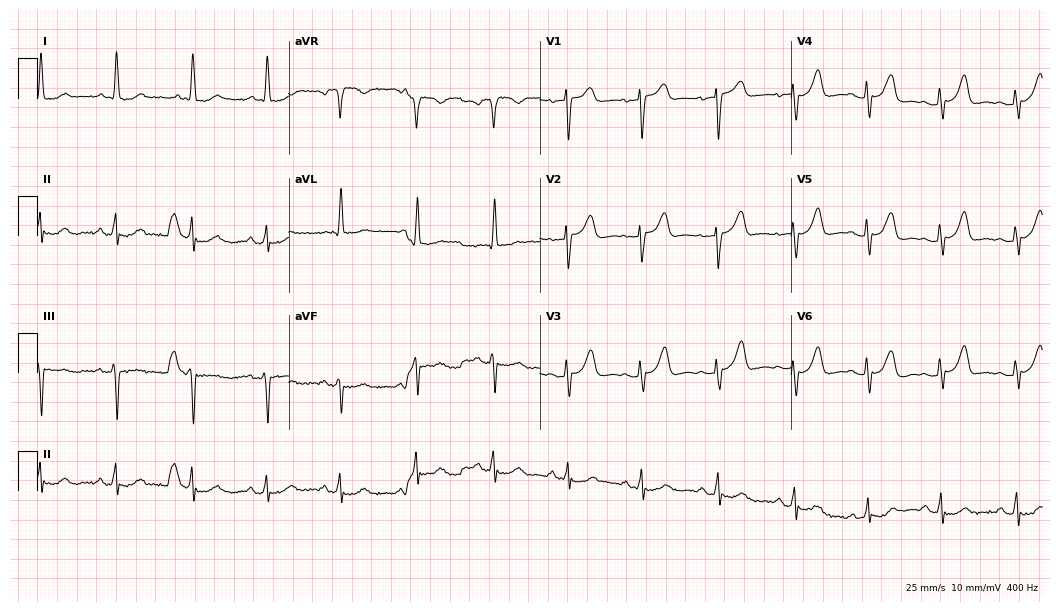
Electrocardiogram, a woman, 77 years old. Of the six screened findings (first-degree AV block, right bundle branch block, left bundle branch block, sinus bradycardia, atrial fibrillation, sinus tachycardia), none is recorded.